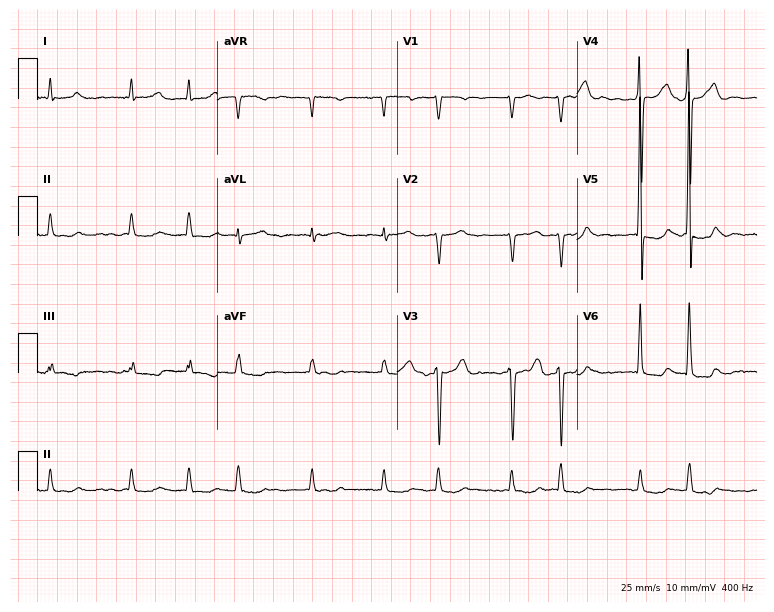
Resting 12-lead electrocardiogram. Patient: a male, 80 years old. The tracing shows atrial fibrillation (AF).